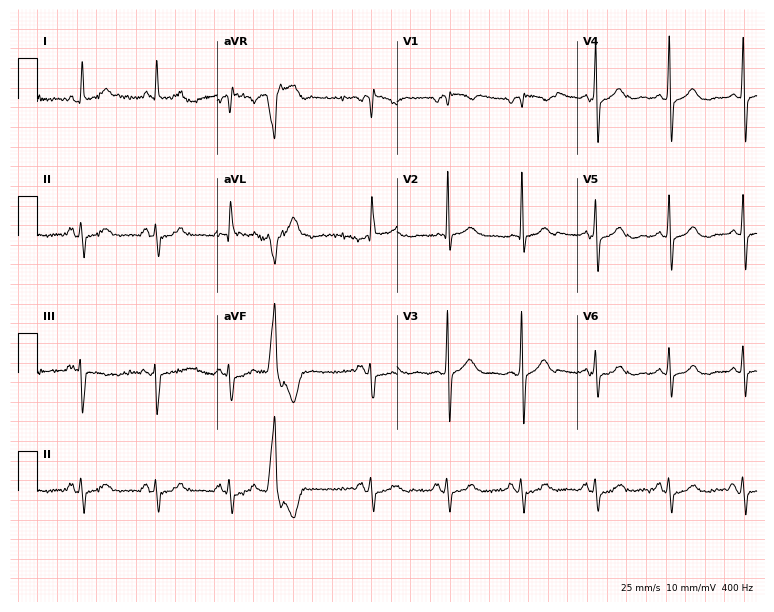
12-lead ECG from a male, 79 years old. Screened for six findings — first-degree AV block, right bundle branch block (RBBB), left bundle branch block (LBBB), sinus bradycardia, atrial fibrillation (AF), sinus tachycardia — none is recorded.